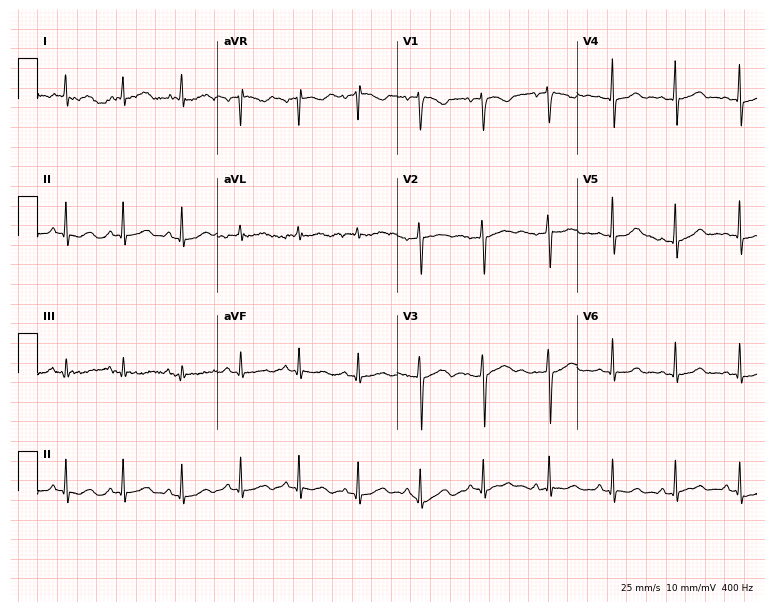
12-lead ECG from a female patient, 23 years old. No first-degree AV block, right bundle branch block, left bundle branch block, sinus bradycardia, atrial fibrillation or sinus tachycardia recorded for this tracing. Other findings, if any, are not listed.